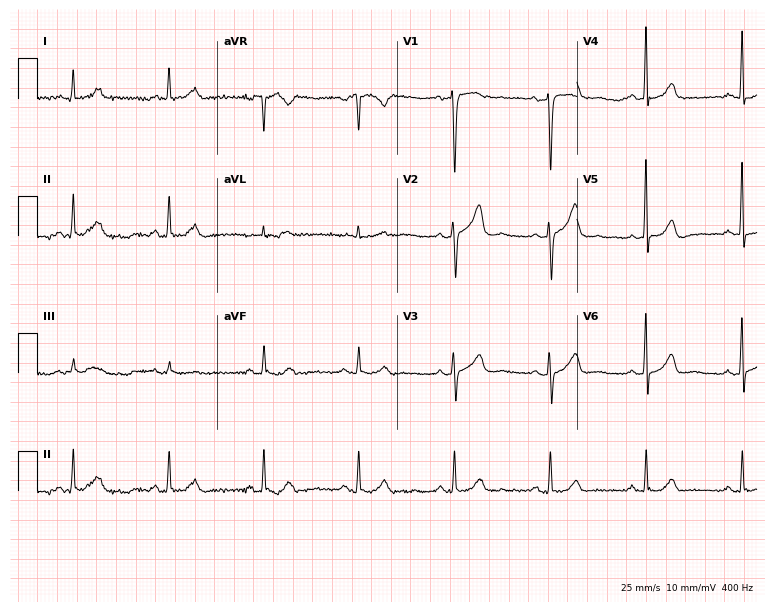
Standard 12-lead ECG recorded from a 71-year-old male (7.3-second recording at 400 Hz). Read as a normal ECG.